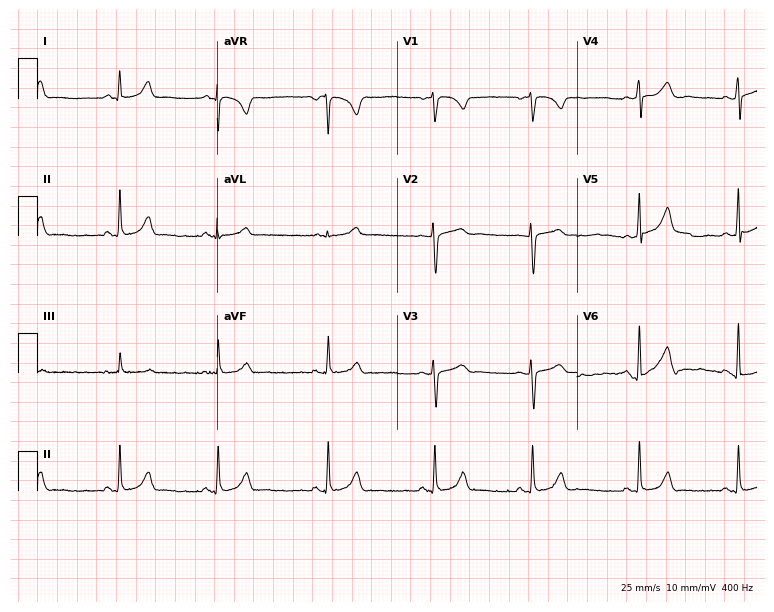
Electrocardiogram, a female, 25 years old. Of the six screened findings (first-degree AV block, right bundle branch block, left bundle branch block, sinus bradycardia, atrial fibrillation, sinus tachycardia), none is recorded.